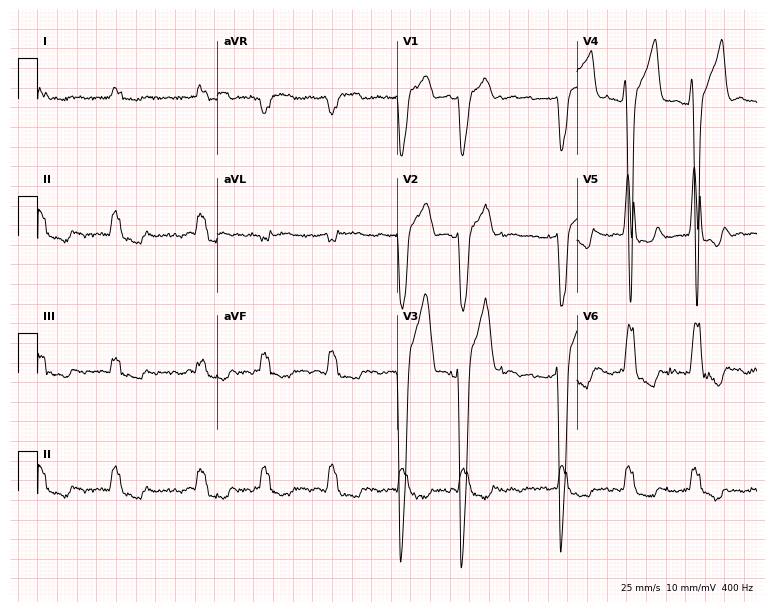
12-lead ECG from a male, 71 years old. Shows left bundle branch block, atrial fibrillation.